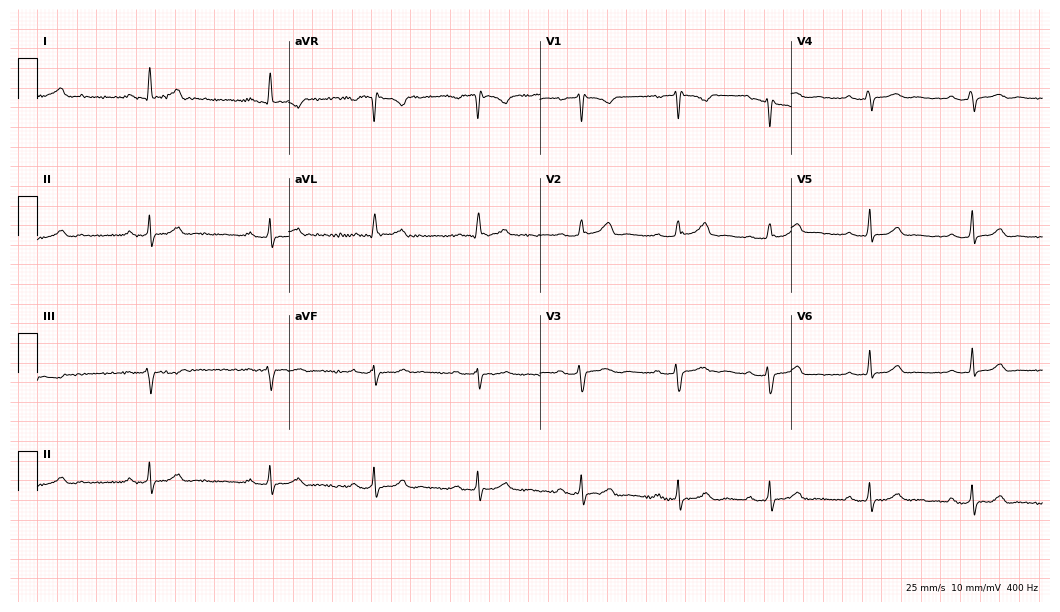
Standard 12-lead ECG recorded from a 57-year-old female patient (10.2-second recording at 400 Hz). Read as a normal ECG.